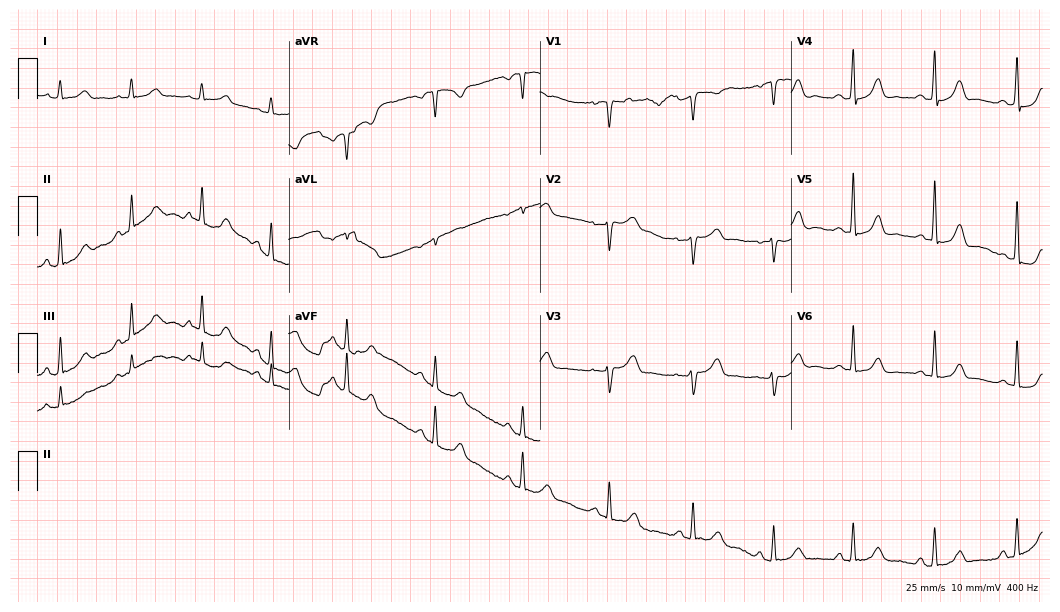
Resting 12-lead electrocardiogram. Patient: a 40-year-old woman. Read as a normal ECG.